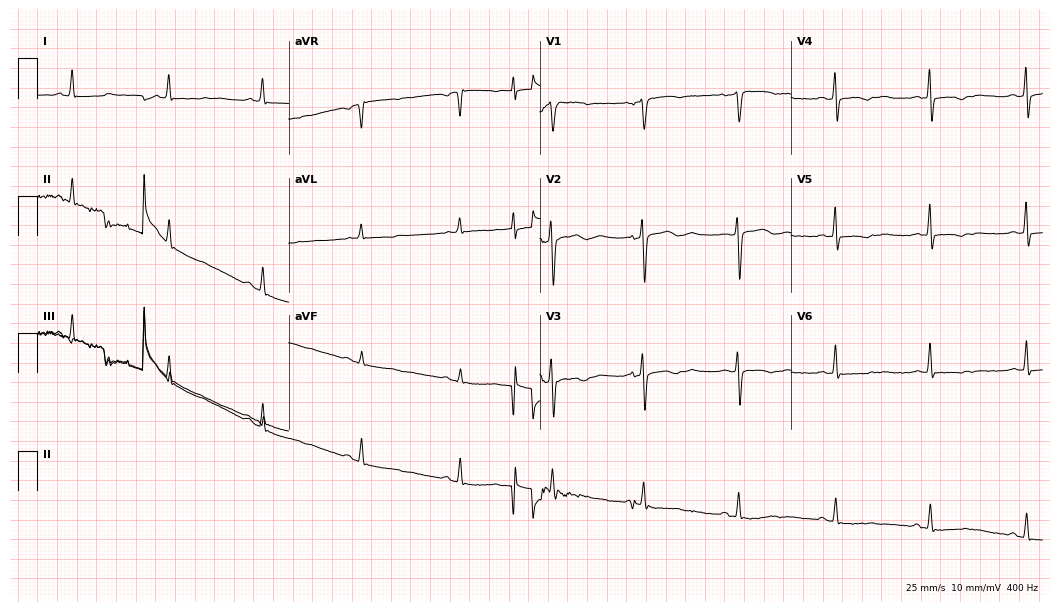
12-lead ECG (10.2-second recording at 400 Hz) from a 52-year-old female patient. Screened for six findings — first-degree AV block, right bundle branch block (RBBB), left bundle branch block (LBBB), sinus bradycardia, atrial fibrillation (AF), sinus tachycardia — none is recorded.